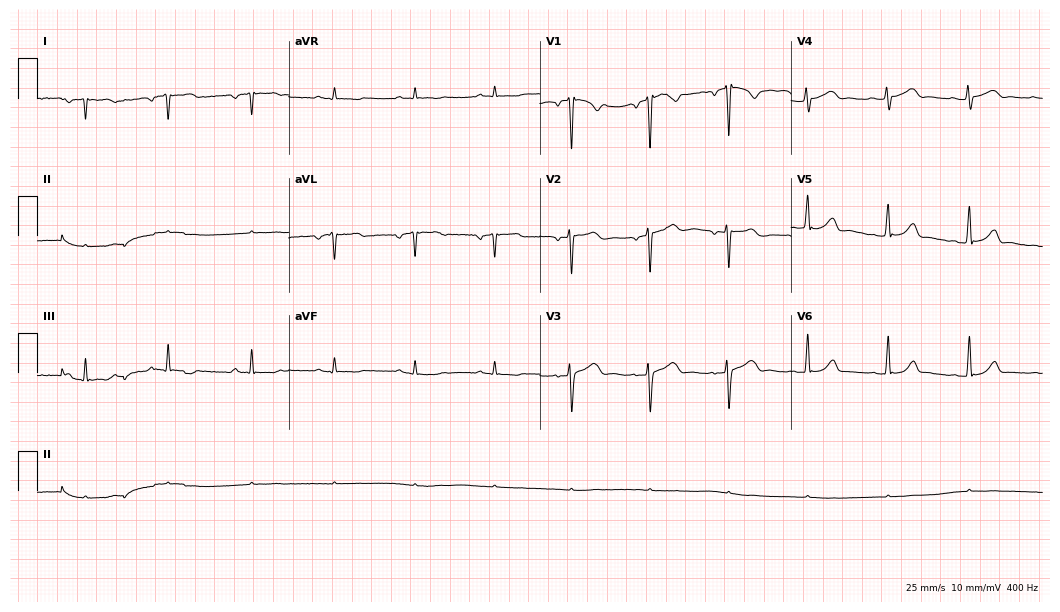
12-lead ECG (10.2-second recording at 400 Hz) from a female patient, 28 years old. Screened for six findings — first-degree AV block, right bundle branch block (RBBB), left bundle branch block (LBBB), sinus bradycardia, atrial fibrillation (AF), sinus tachycardia — none is recorded. Findings outside these six are not listed.